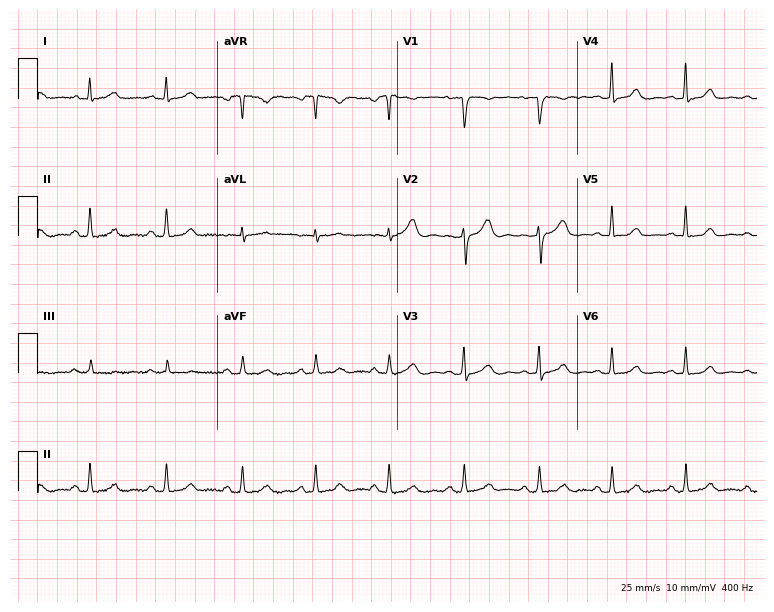
12-lead ECG from a female, 35 years old. Recorded interpretation: within normal limits.